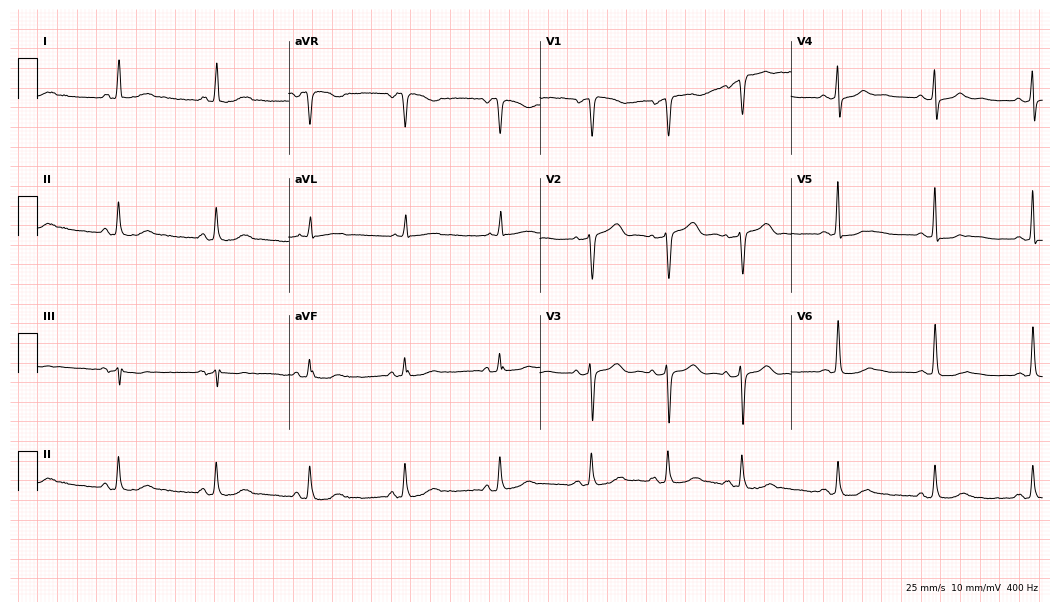
ECG — a 78-year-old woman. Labelled as a normal ECG.